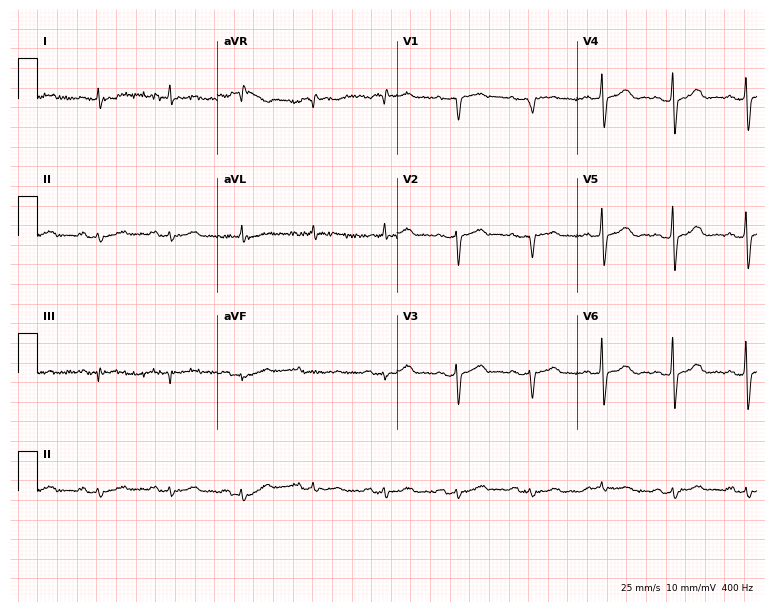
Standard 12-lead ECG recorded from a male patient, 77 years old. None of these six findings is recorded: first-degree AV block, right bundle branch block (RBBB), left bundle branch block (LBBB), sinus bradycardia, atrial fibrillation (AF), sinus tachycardia. Other findings, if any, are not listed.